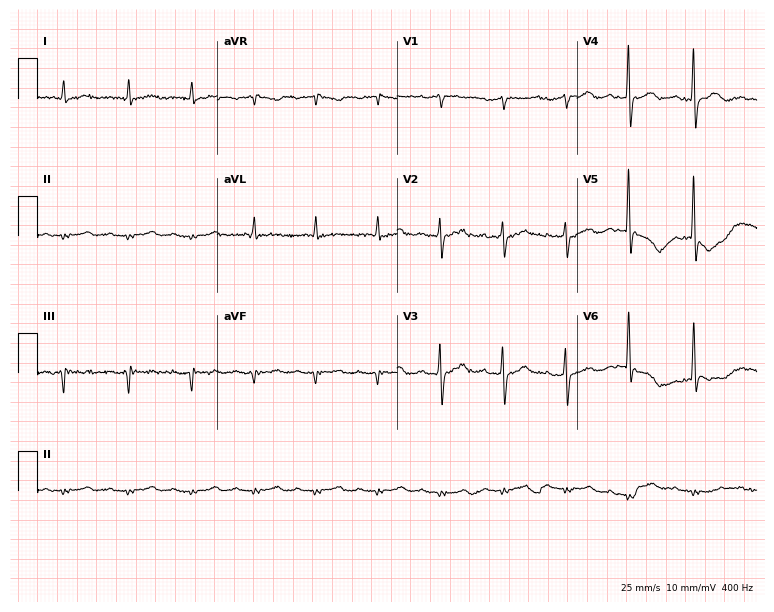
Resting 12-lead electrocardiogram. Patient: a male, 80 years old. None of these six findings is recorded: first-degree AV block, right bundle branch block, left bundle branch block, sinus bradycardia, atrial fibrillation, sinus tachycardia. Only these six findings were labelled.